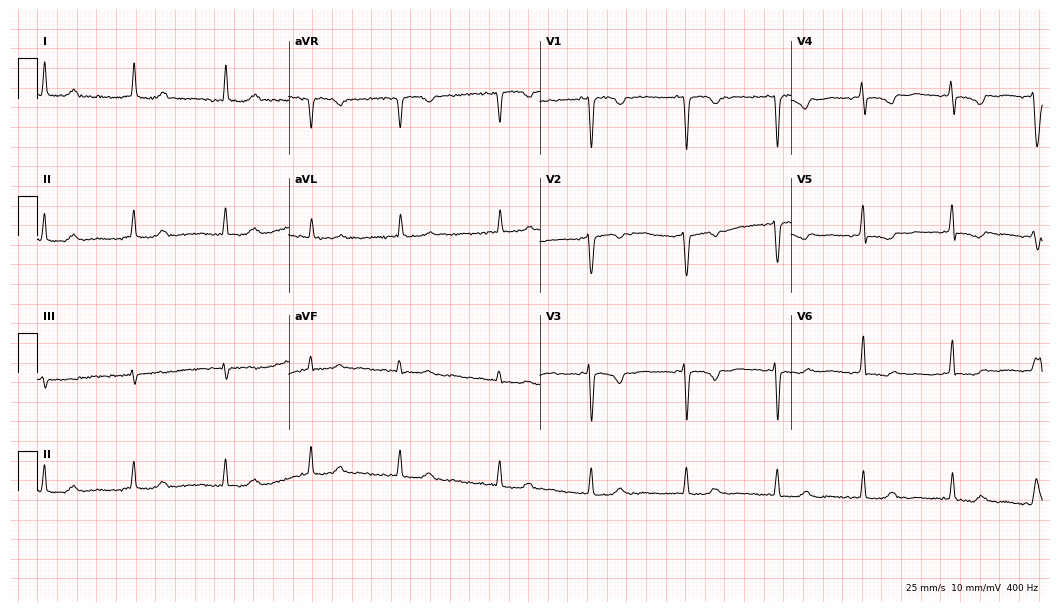
Standard 12-lead ECG recorded from a 46-year-old female. None of these six findings is recorded: first-degree AV block, right bundle branch block, left bundle branch block, sinus bradycardia, atrial fibrillation, sinus tachycardia.